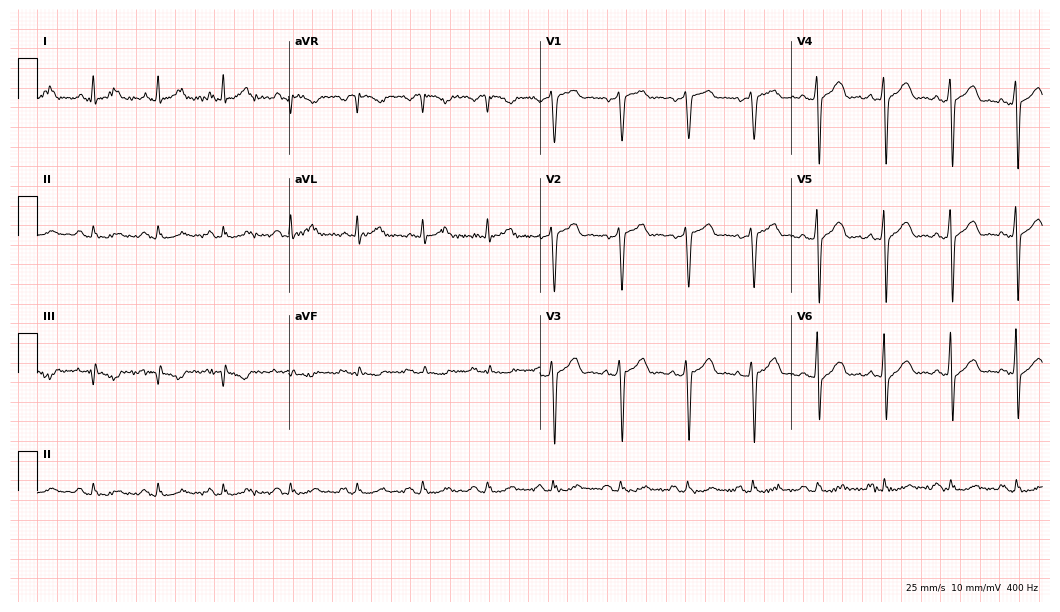
ECG (10.2-second recording at 400 Hz) — a male, 58 years old. Screened for six findings — first-degree AV block, right bundle branch block (RBBB), left bundle branch block (LBBB), sinus bradycardia, atrial fibrillation (AF), sinus tachycardia — none is recorded.